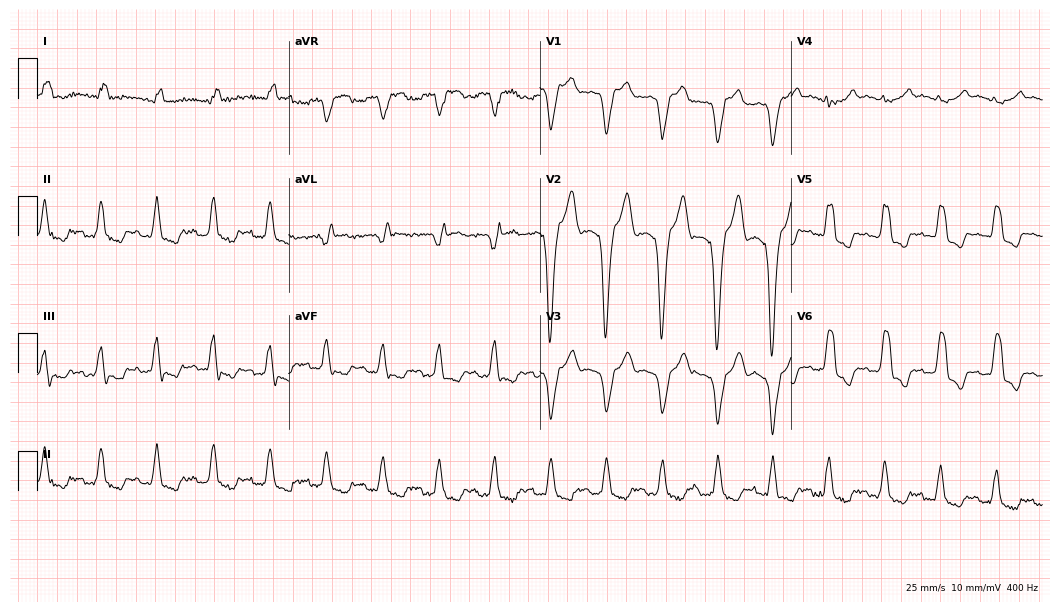
ECG — a female, 69 years old. Findings include left bundle branch block, sinus tachycardia (a sinus rate of 100 beats per minute or more).